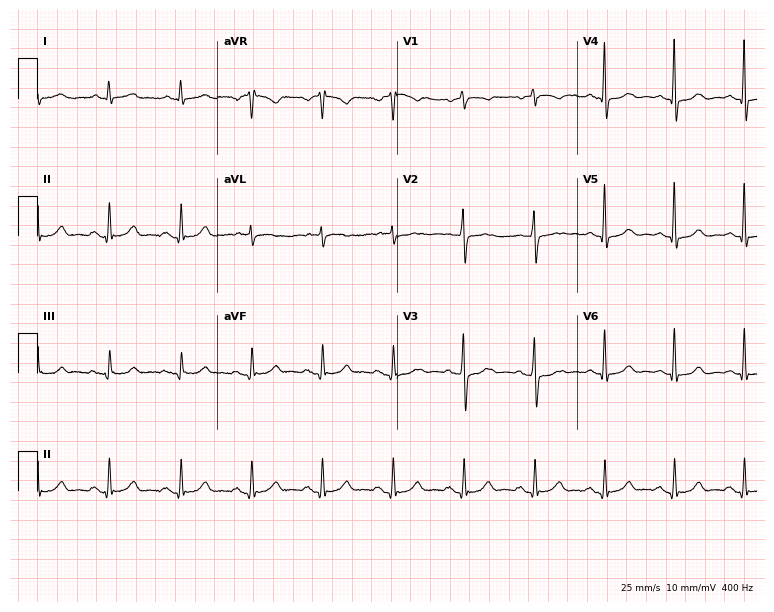
12-lead ECG from a female patient, 66 years old (7.3-second recording at 400 Hz). No first-degree AV block, right bundle branch block (RBBB), left bundle branch block (LBBB), sinus bradycardia, atrial fibrillation (AF) or sinus tachycardia recorded for this tracing. Findings outside these six are not listed.